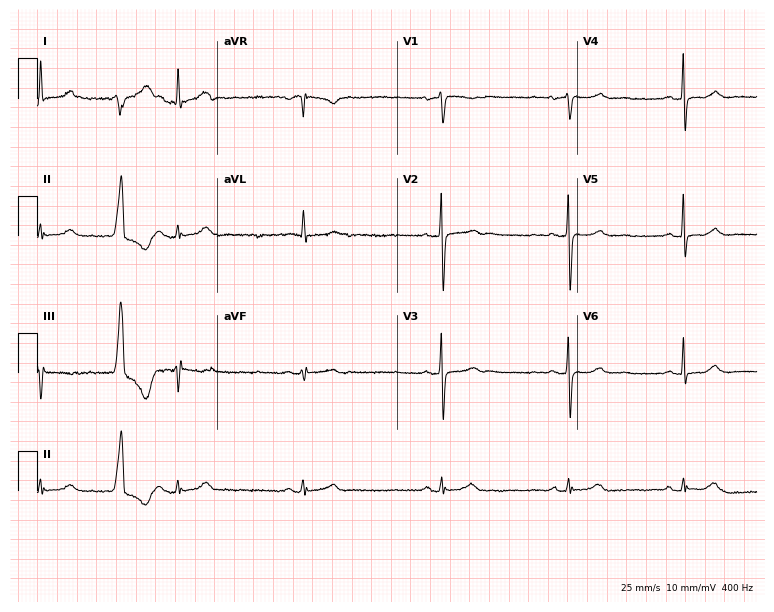
12-lead ECG from a 61-year-old woman. Shows sinus bradycardia (a sinus rate of 50 beats per minute or less).